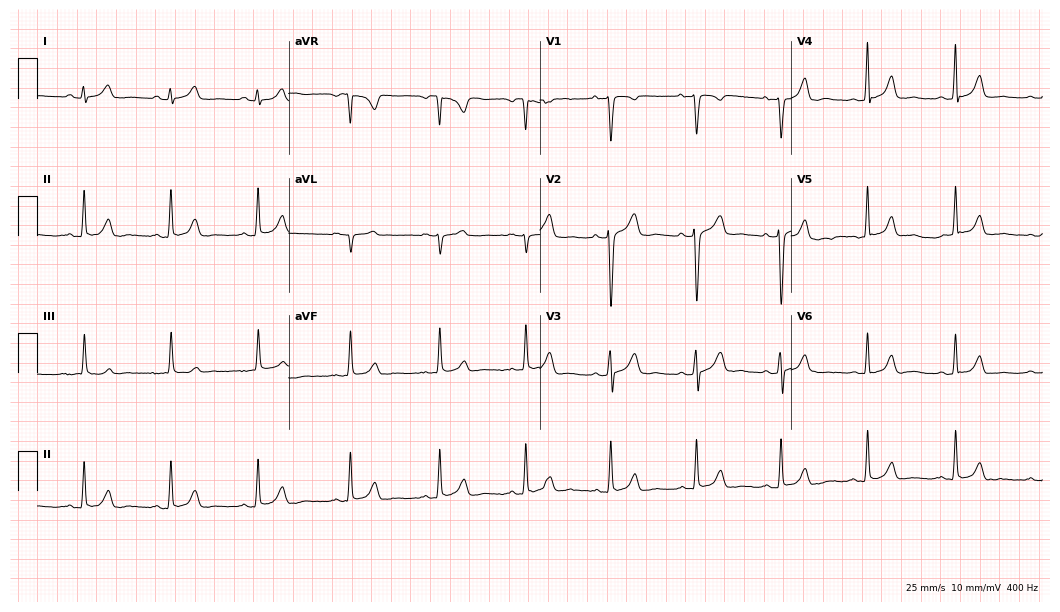
ECG — a 29-year-old female patient. Labelled as a normal ECG.